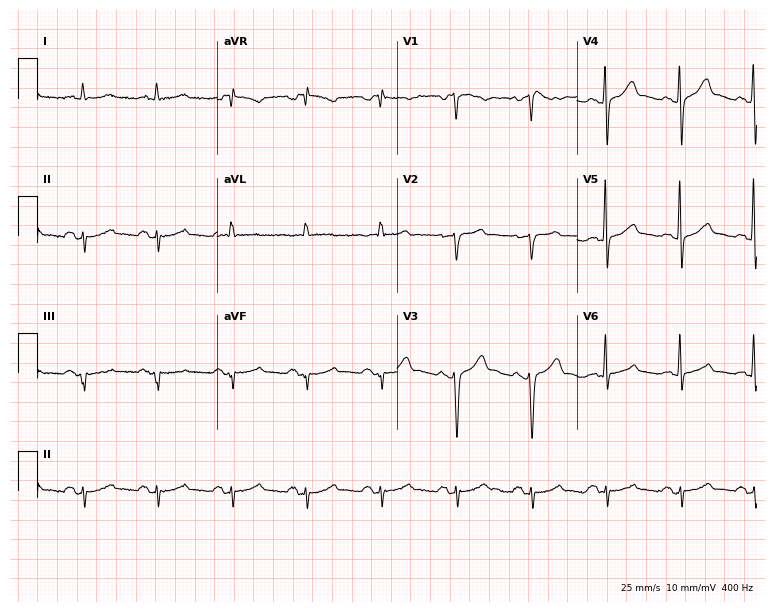
Electrocardiogram (7.3-second recording at 400 Hz), a male patient, 67 years old. Of the six screened findings (first-degree AV block, right bundle branch block, left bundle branch block, sinus bradycardia, atrial fibrillation, sinus tachycardia), none is recorded.